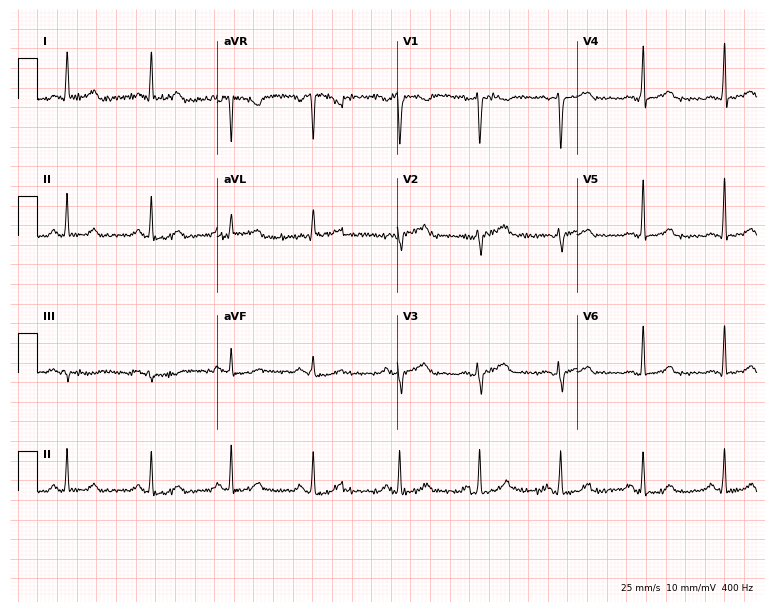
Resting 12-lead electrocardiogram (7.3-second recording at 400 Hz). Patient: a woman, 31 years old. Read as a normal ECG.